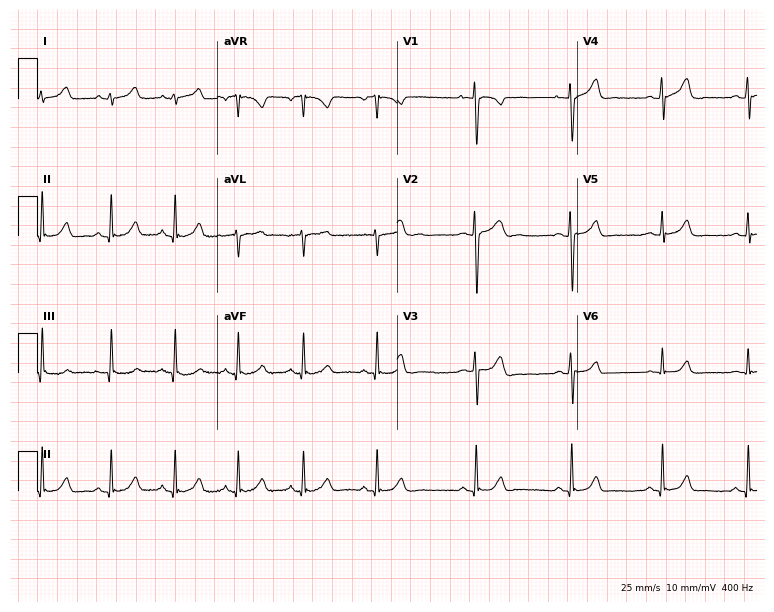
12-lead ECG from a female, 17 years old. Recorded interpretation: within normal limits.